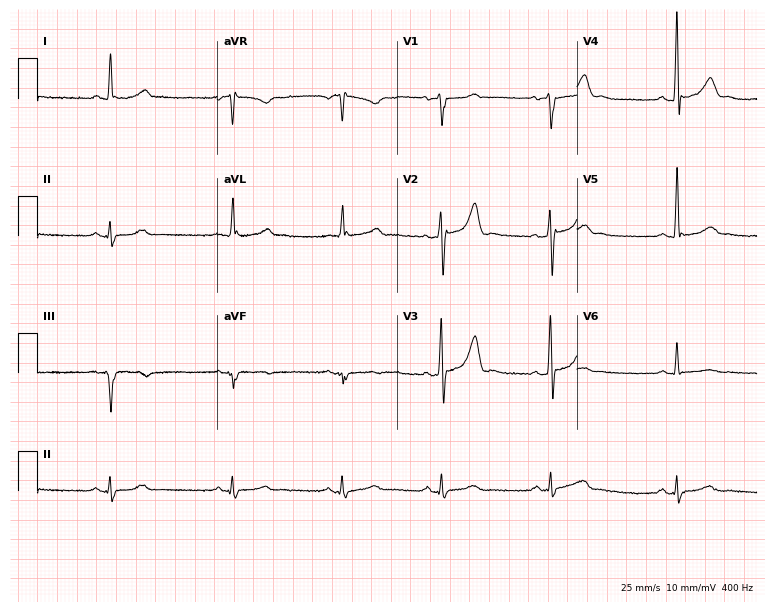
12-lead ECG from a male patient, 42 years old. No first-degree AV block, right bundle branch block (RBBB), left bundle branch block (LBBB), sinus bradycardia, atrial fibrillation (AF) or sinus tachycardia recorded for this tracing. Other findings, if any, are not listed.